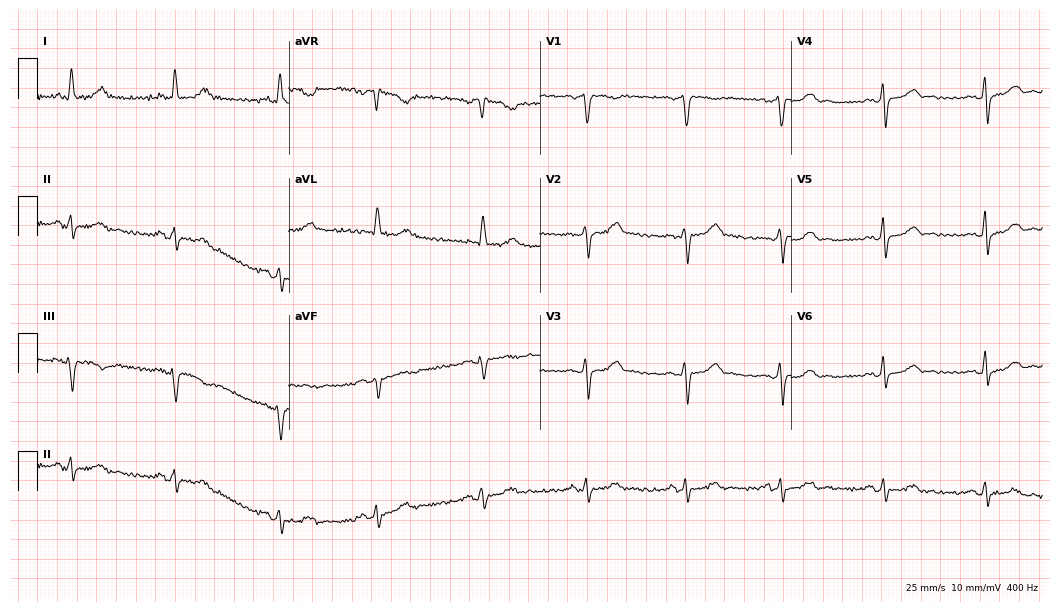
ECG — a female patient, 62 years old. Screened for six findings — first-degree AV block, right bundle branch block (RBBB), left bundle branch block (LBBB), sinus bradycardia, atrial fibrillation (AF), sinus tachycardia — none is recorded.